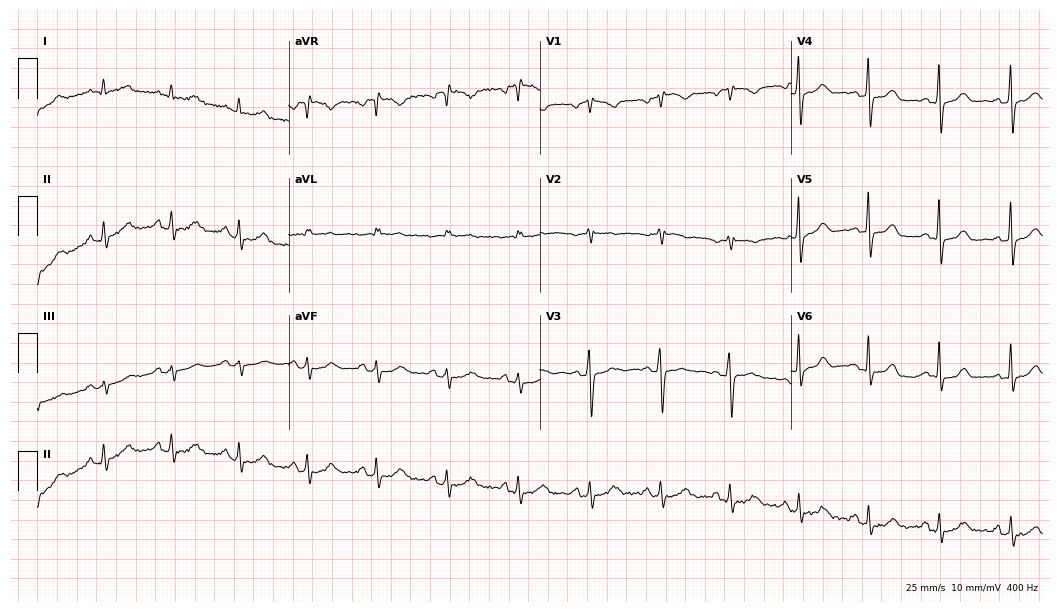
Electrocardiogram, a female patient, 59 years old. Of the six screened findings (first-degree AV block, right bundle branch block, left bundle branch block, sinus bradycardia, atrial fibrillation, sinus tachycardia), none is recorded. Other findings, if any, are not listed.